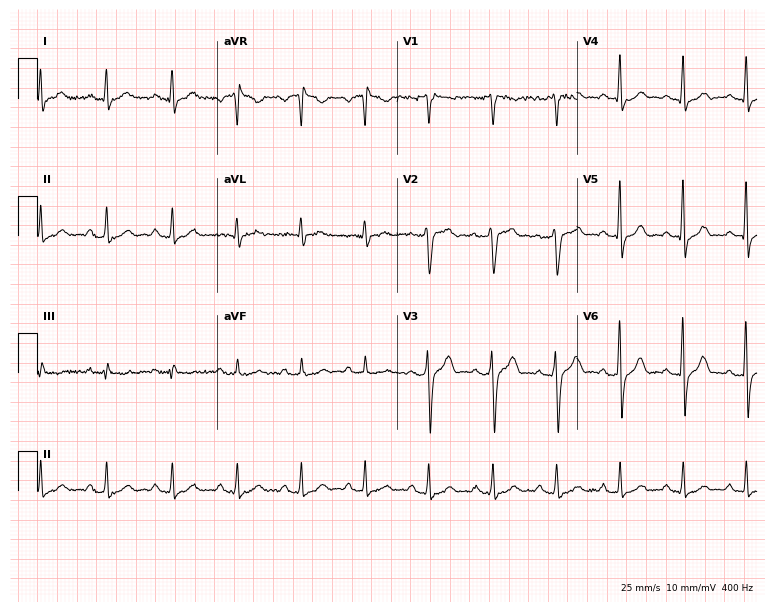
Resting 12-lead electrocardiogram (7.3-second recording at 400 Hz). Patient: a man, 41 years old. Read as a normal ECG.